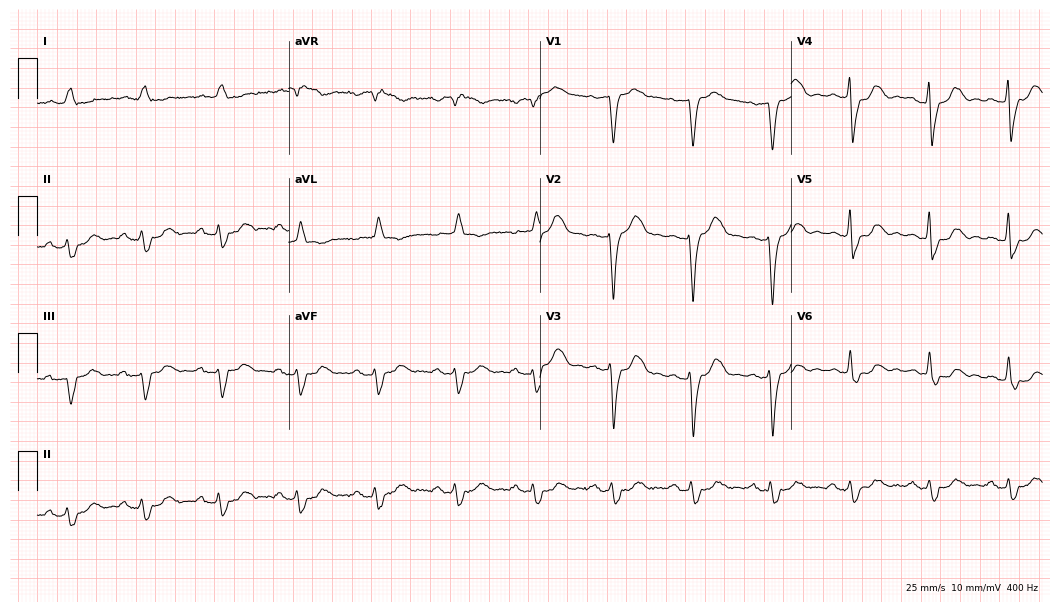
Electrocardiogram, a 79-year-old male. Interpretation includes left bundle branch block.